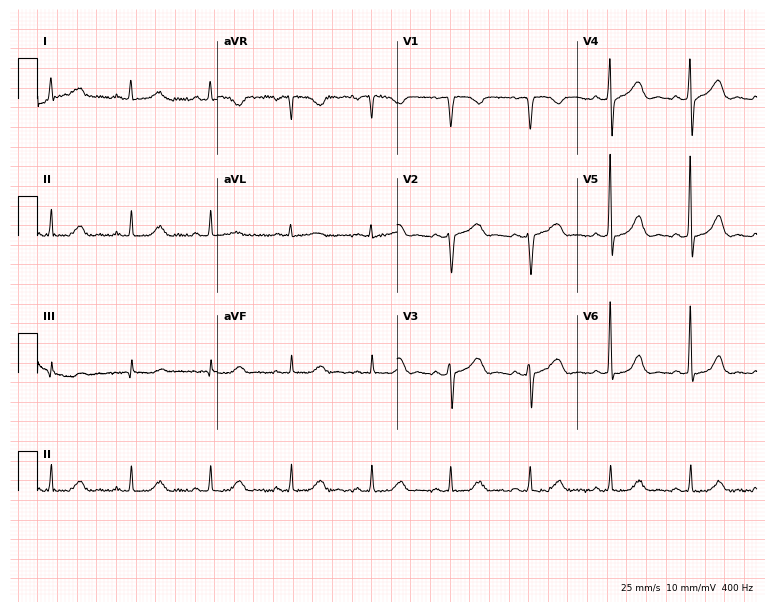
Standard 12-lead ECG recorded from a female, 58 years old (7.3-second recording at 400 Hz). Read as a normal ECG.